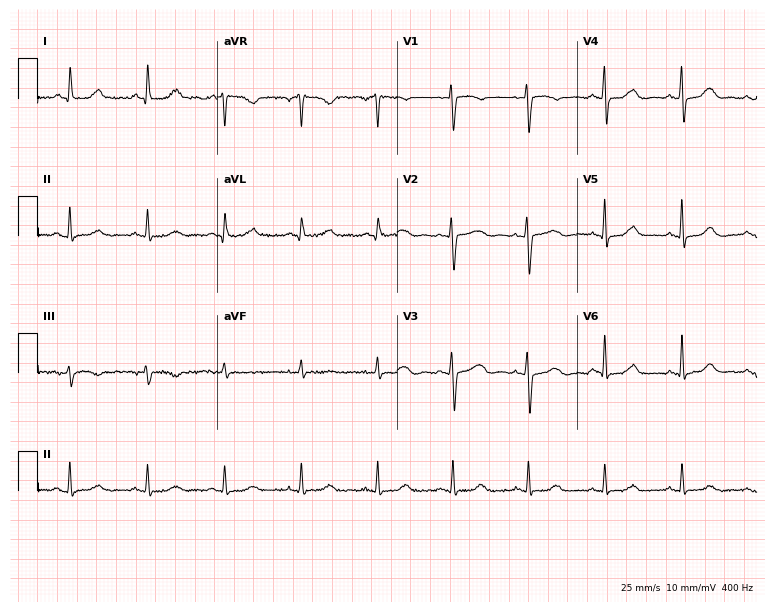
Electrocardiogram (7.3-second recording at 400 Hz), a female patient, 57 years old. Of the six screened findings (first-degree AV block, right bundle branch block (RBBB), left bundle branch block (LBBB), sinus bradycardia, atrial fibrillation (AF), sinus tachycardia), none is recorded. Findings outside these six are not listed.